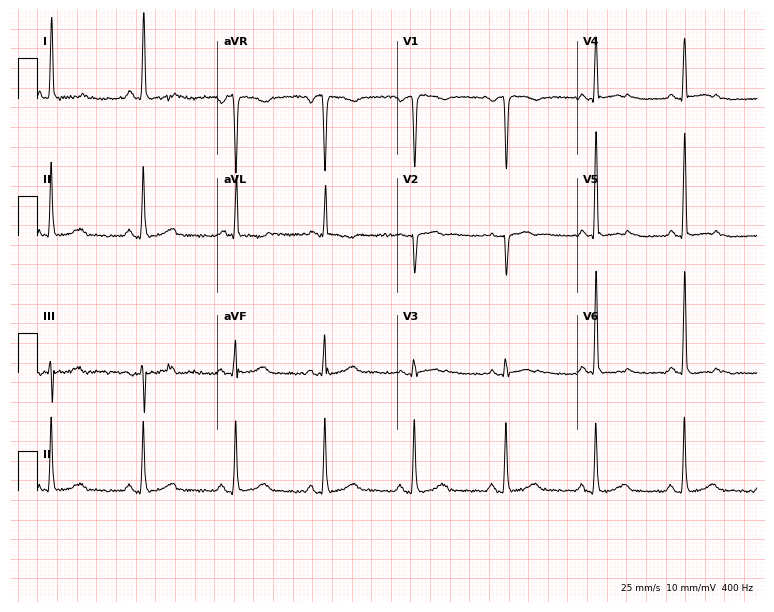
Resting 12-lead electrocardiogram (7.3-second recording at 400 Hz). Patient: a 69-year-old female. None of these six findings is recorded: first-degree AV block, right bundle branch block, left bundle branch block, sinus bradycardia, atrial fibrillation, sinus tachycardia.